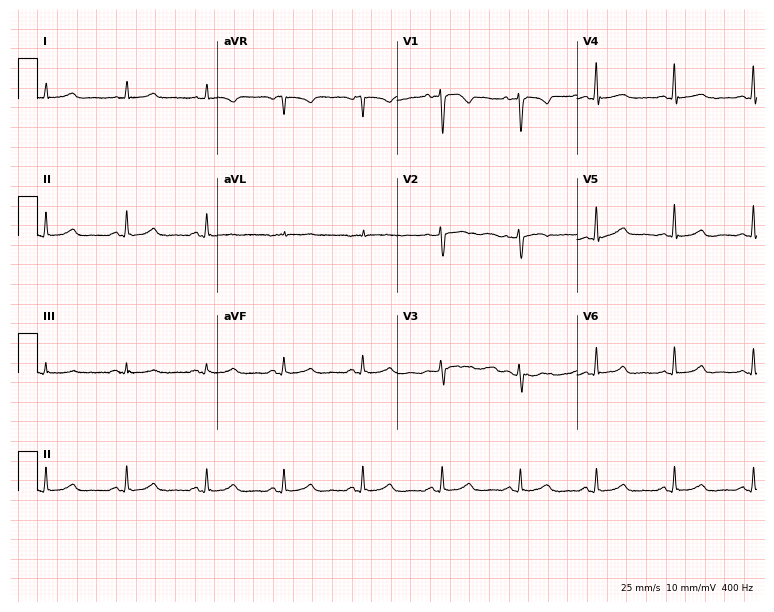
Standard 12-lead ECG recorded from a 43-year-old female. Read as a normal ECG.